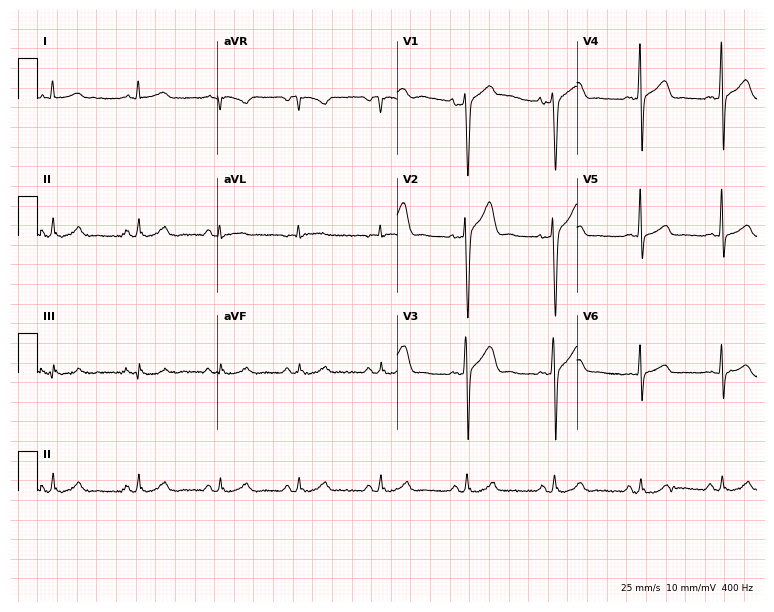
Standard 12-lead ECG recorded from a 36-year-old man. Read as a normal ECG.